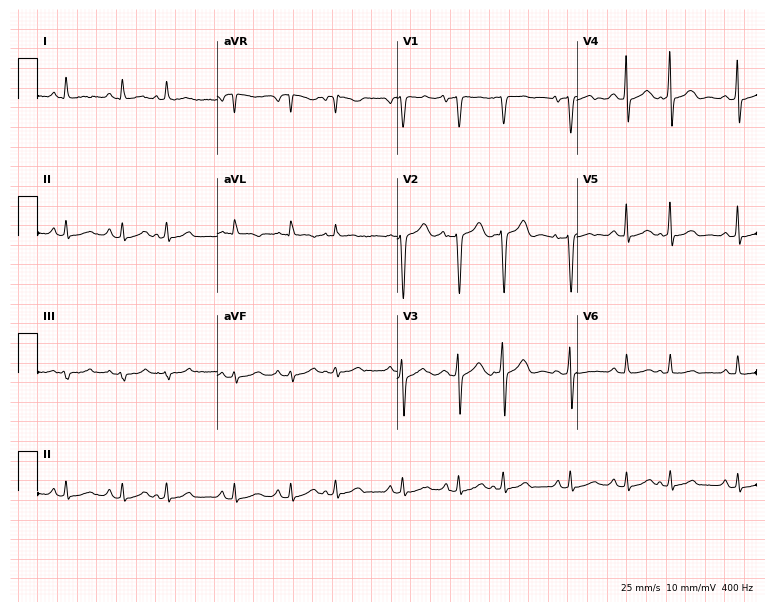
12-lead ECG from a female, 75 years old (7.3-second recording at 400 Hz). No first-degree AV block, right bundle branch block (RBBB), left bundle branch block (LBBB), sinus bradycardia, atrial fibrillation (AF) or sinus tachycardia recorded for this tracing.